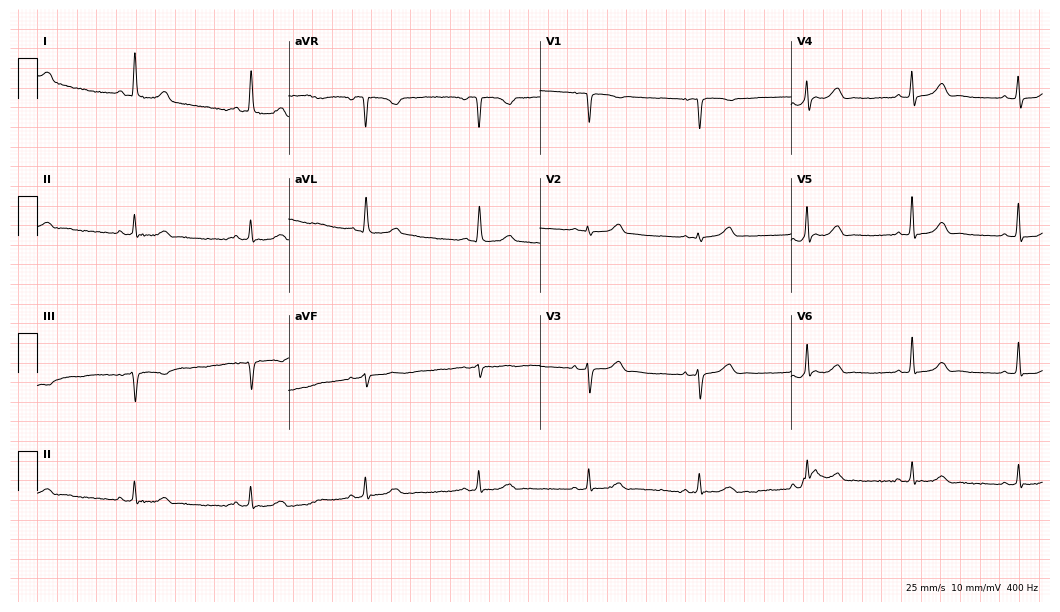
Electrocardiogram (10.2-second recording at 400 Hz), a woman, 73 years old. Of the six screened findings (first-degree AV block, right bundle branch block, left bundle branch block, sinus bradycardia, atrial fibrillation, sinus tachycardia), none is recorded.